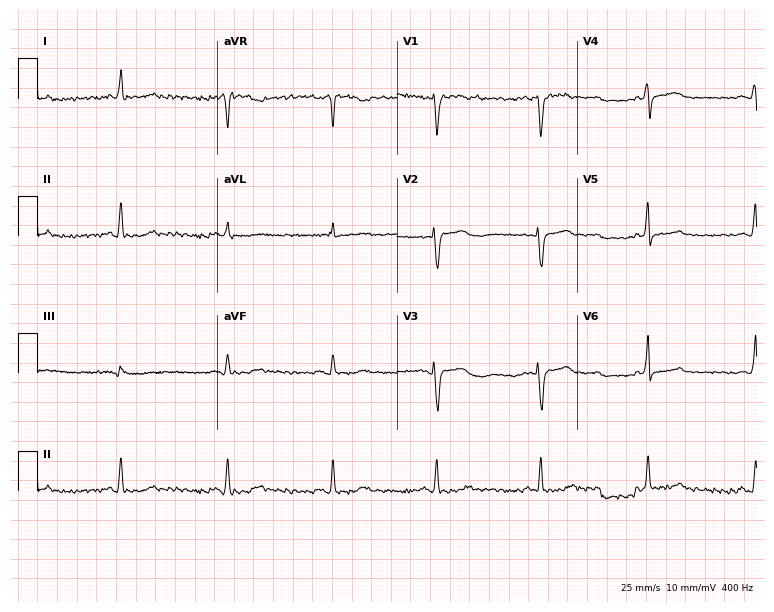
Standard 12-lead ECG recorded from a woman, 53 years old (7.3-second recording at 400 Hz). None of these six findings is recorded: first-degree AV block, right bundle branch block (RBBB), left bundle branch block (LBBB), sinus bradycardia, atrial fibrillation (AF), sinus tachycardia. Only these six findings were labelled.